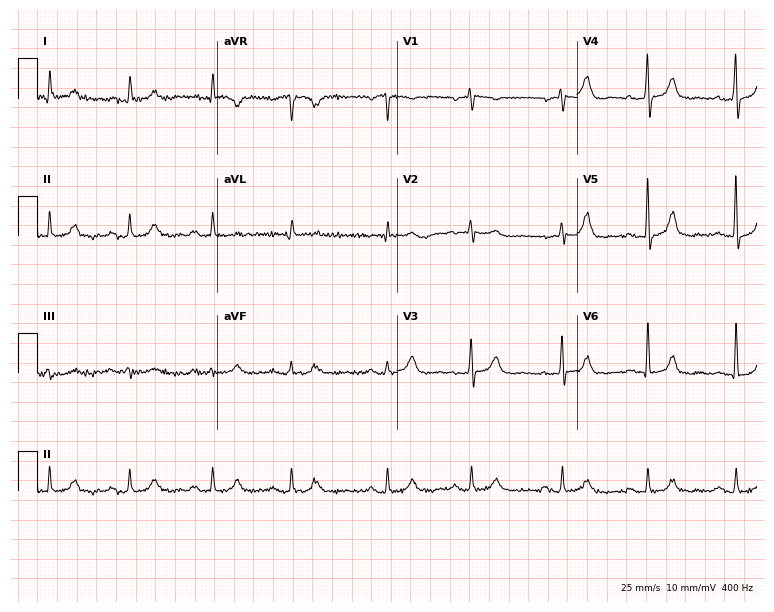
Electrocardiogram (7.3-second recording at 400 Hz), an 82-year-old male patient. Overall reading on record: normal ECG.